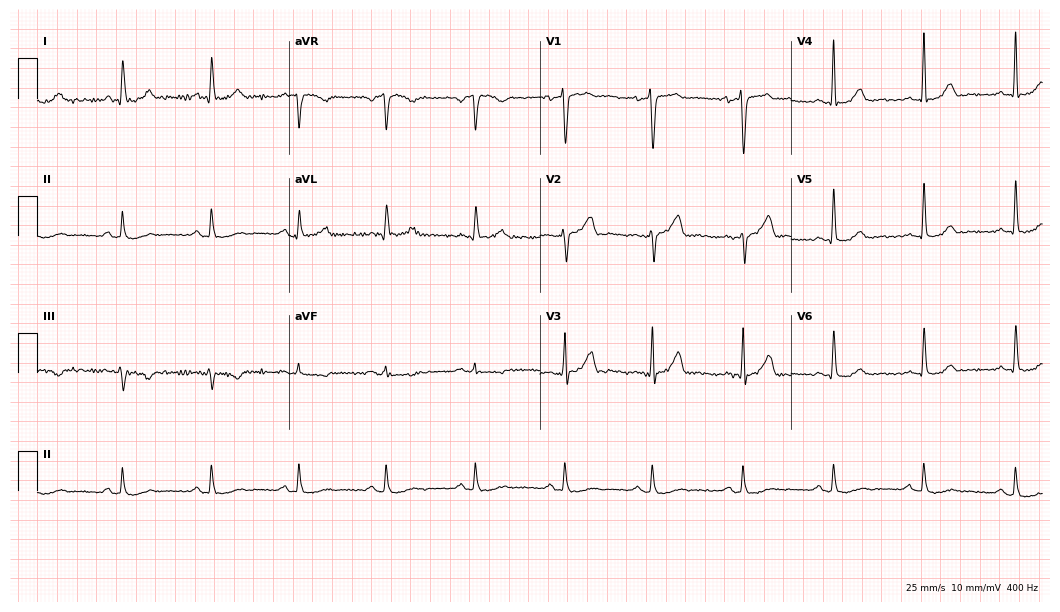
12-lead ECG from a 54-year-old male patient. No first-degree AV block, right bundle branch block, left bundle branch block, sinus bradycardia, atrial fibrillation or sinus tachycardia recorded for this tracing. Findings outside these six are not listed.